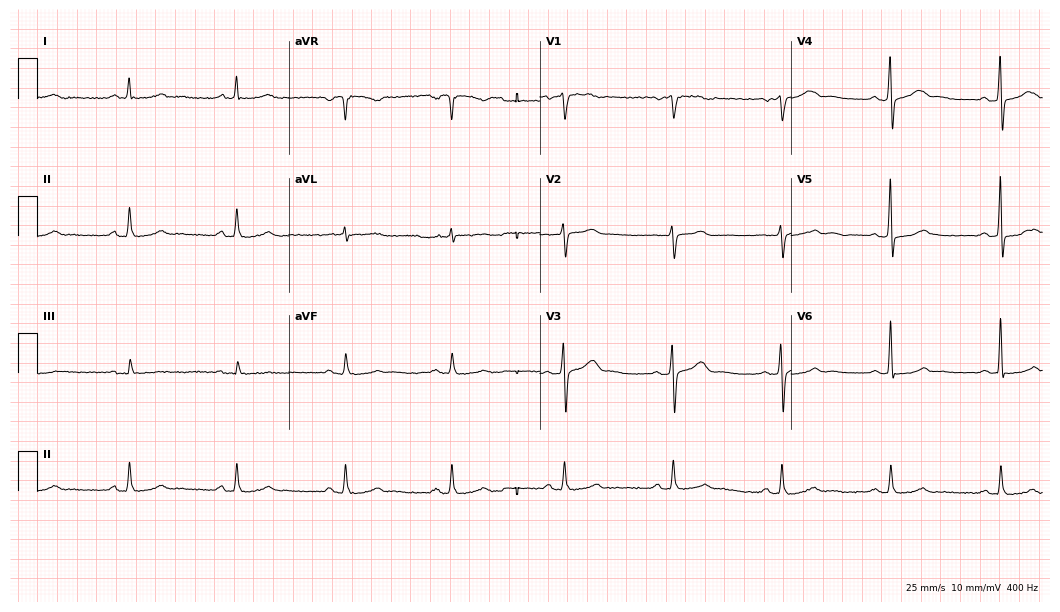
Resting 12-lead electrocardiogram (10.2-second recording at 400 Hz). Patient: a male, 65 years old. Read as a normal ECG.